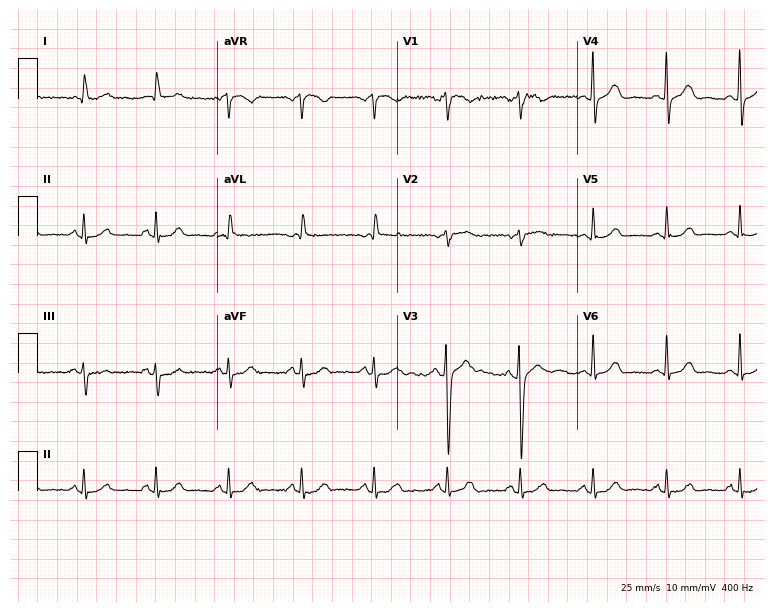
12-lead ECG from a woman, 82 years old. Labelled as a normal ECG.